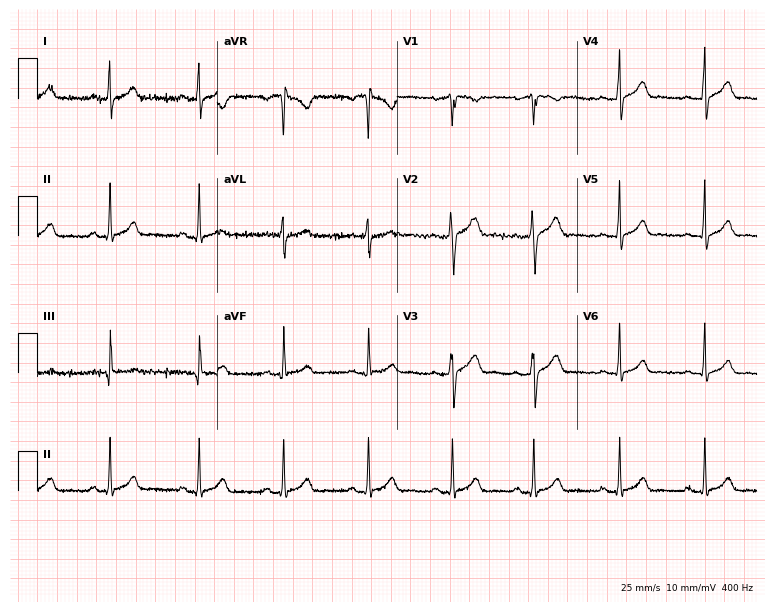
Resting 12-lead electrocardiogram (7.3-second recording at 400 Hz). Patient: a 25-year-old male. Read as a normal ECG.